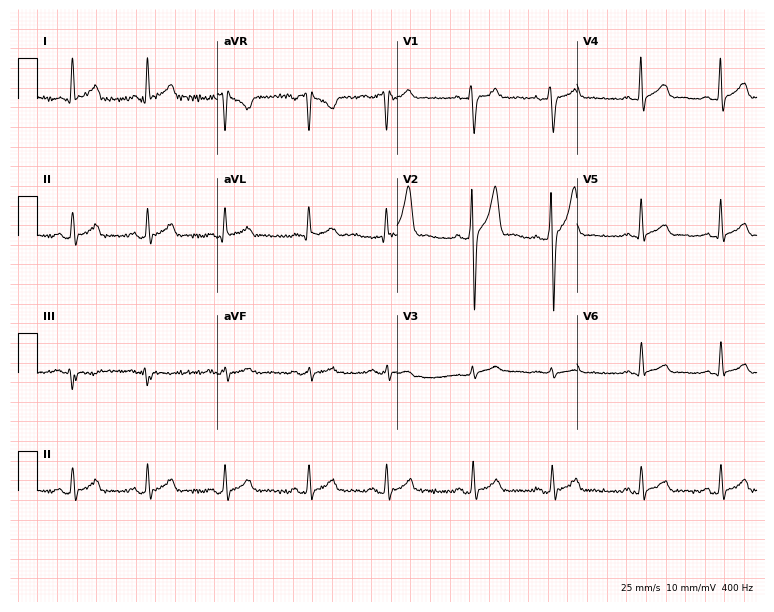
Standard 12-lead ECG recorded from a male patient, 39 years old. Read as a normal ECG.